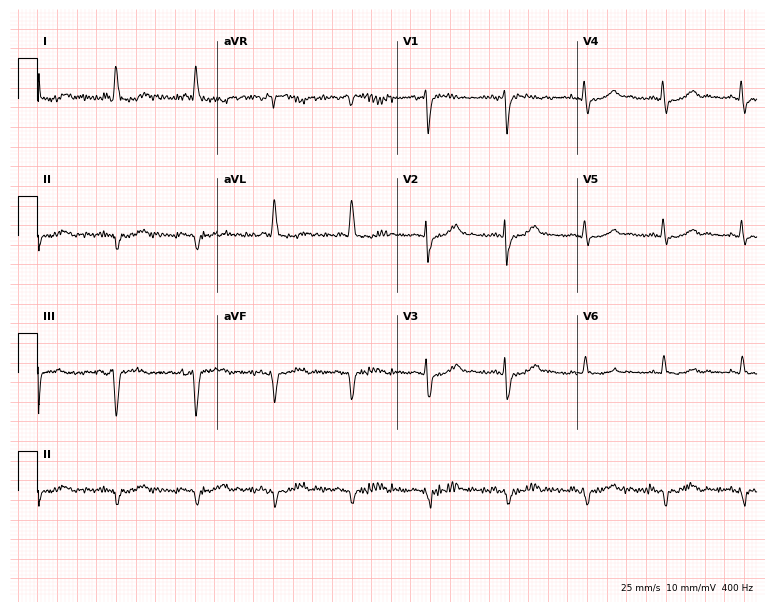
12-lead ECG from a 66-year-old female. No first-degree AV block, right bundle branch block, left bundle branch block, sinus bradycardia, atrial fibrillation or sinus tachycardia recorded for this tracing.